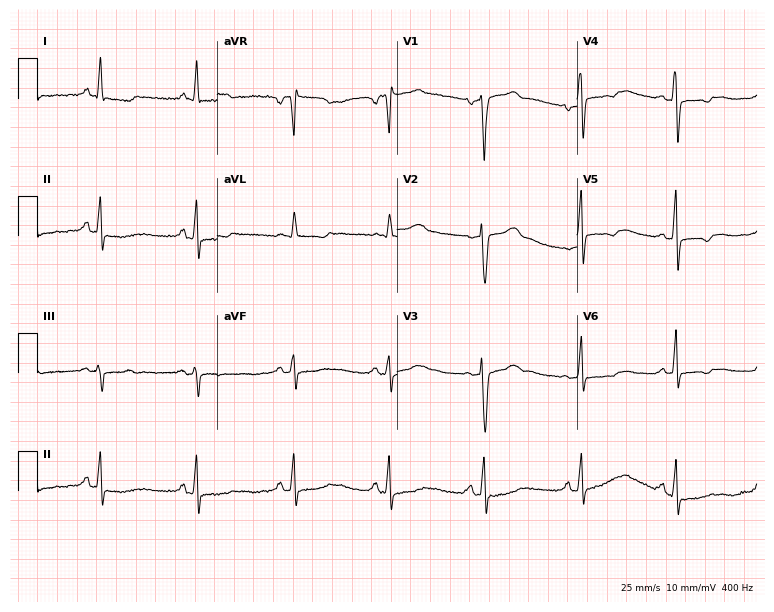
Standard 12-lead ECG recorded from a female, 56 years old. None of these six findings is recorded: first-degree AV block, right bundle branch block, left bundle branch block, sinus bradycardia, atrial fibrillation, sinus tachycardia.